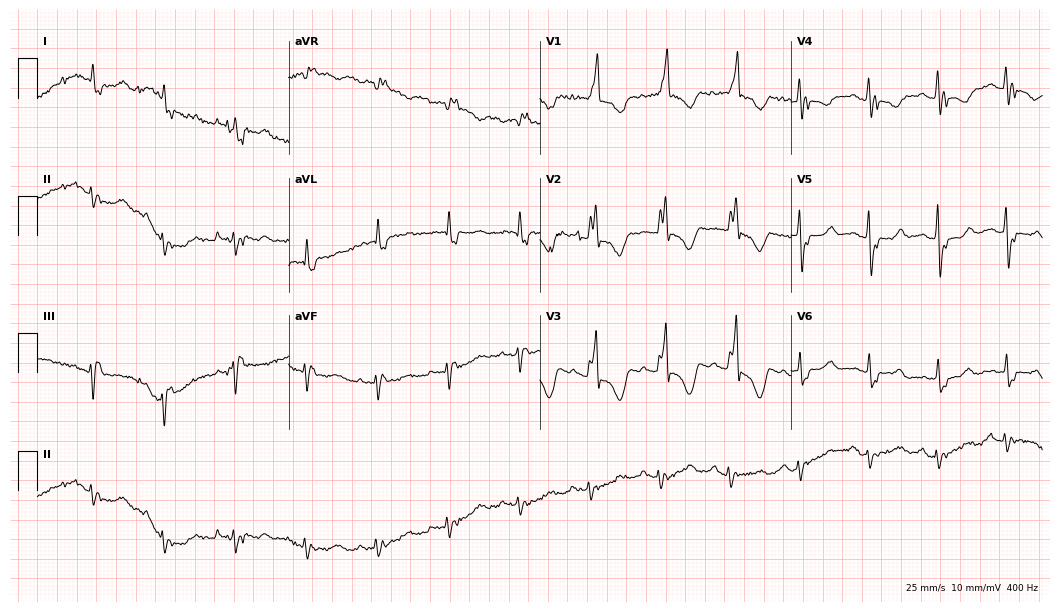
12-lead ECG (10.2-second recording at 400 Hz) from a 59-year-old female. Screened for six findings — first-degree AV block, right bundle branch block, left bundle branch block, sinus bradycardia, atrial fibrillation, sinus tachycardia — none is recorded.